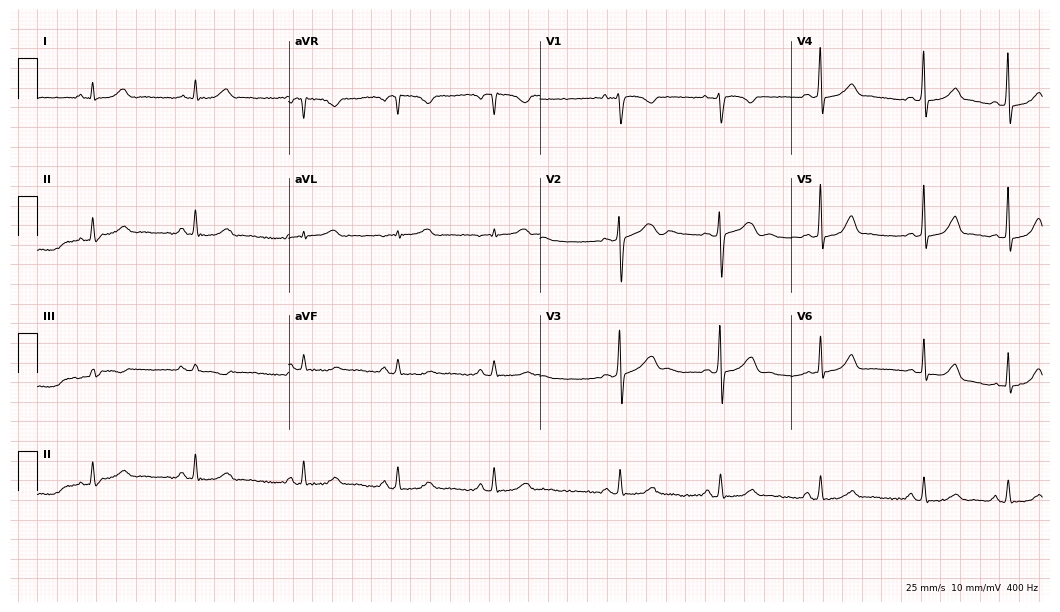
12-lead ECG (10.2-second recording at 400 Hz) from a female, 30 years old. Screened for six findings — first-degree AV block, right bundle branch block, left bundle branch block, sinus bradycardia, atrial fibrillation, sinus tachycardia — none is recorded. Only these six findings were labelled.